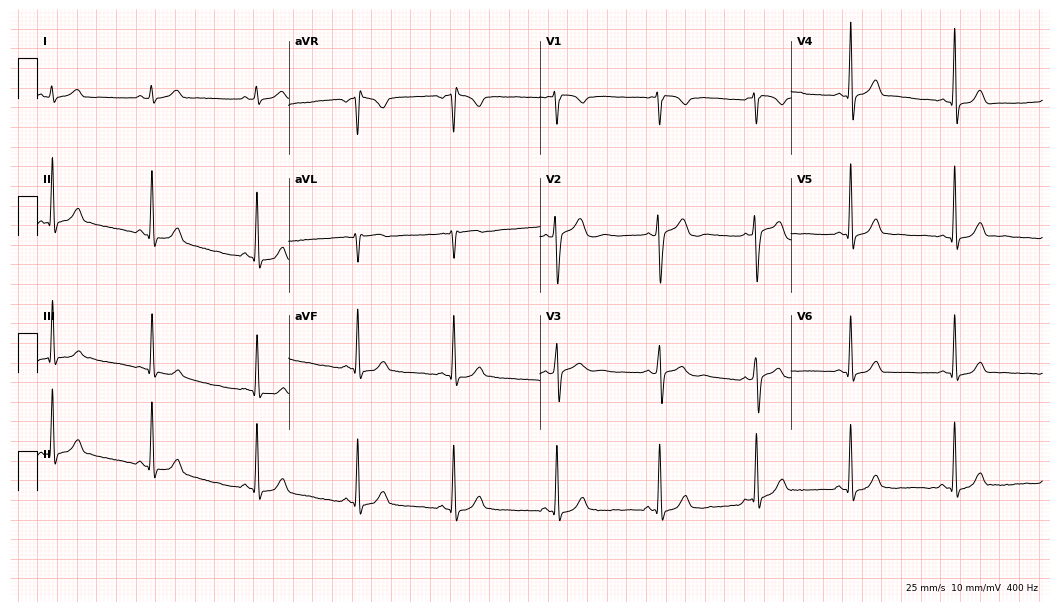
Electrocardiogram, a male, 34 years old. Overall reading on record: normal ECG.